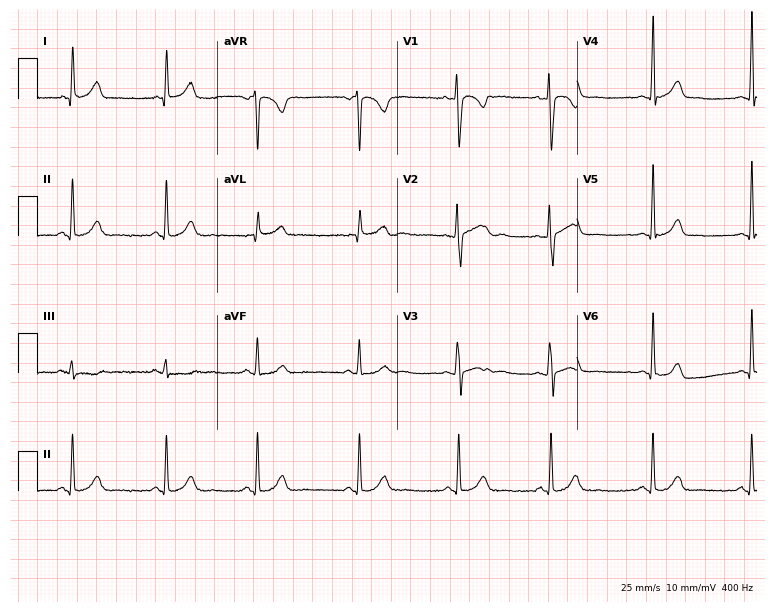
Resting 12-lead electrocardiogram (7.3-second recording at 400 Hz). Patient: a 29-year-old woman. Read as a normal ECG.